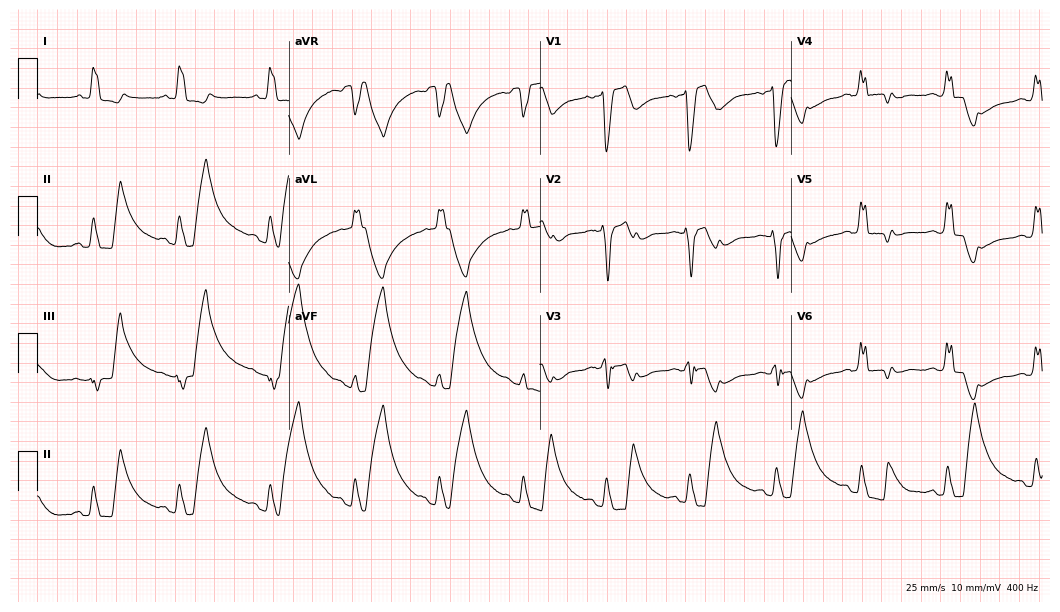
Resting 12-lead electrocardiogram (10.2-second recording at 400 Hz). Patient: a 79-year-old female. None of these six findings is recorded: first-degree AV block, right bundle branch block, left bundle branch block, sinus bradycardia, atrial fibrillation, sinus tachycardia. Findings outside these six are not listed.